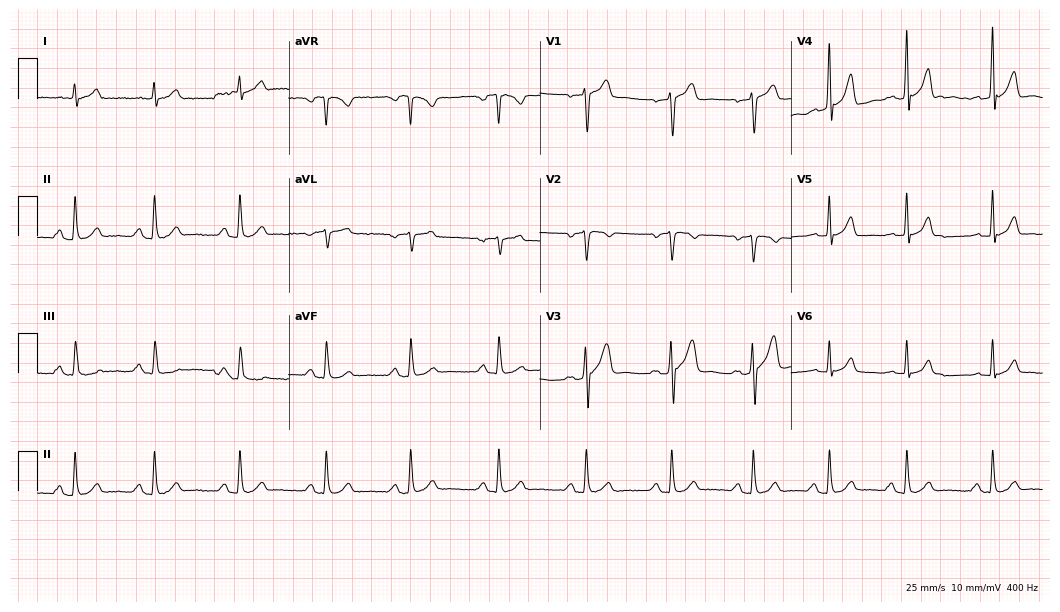
Standard 12-lead ECG recorded from a male, 35 years old. Read as a normal ECG.